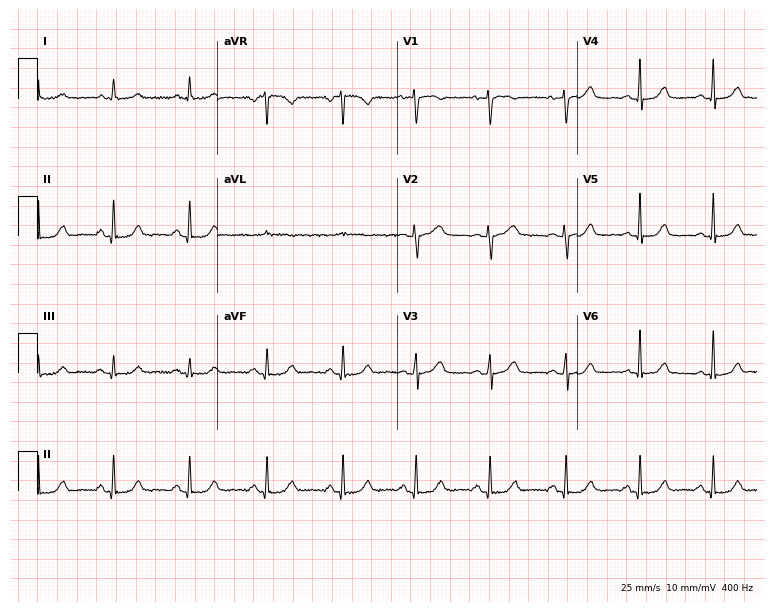
Electrocardiogram (7.3-second recording at 400 Hz), a 64-year-old woman. Of the six screened findings (first-degree AV block, right bundle branch block (RBBB), left bundle branch block (LBBB), sinus bradycardia, atrial fibrillation (AF), sinus tachycardia), none is recorded. Other findings, if any, are not listed.